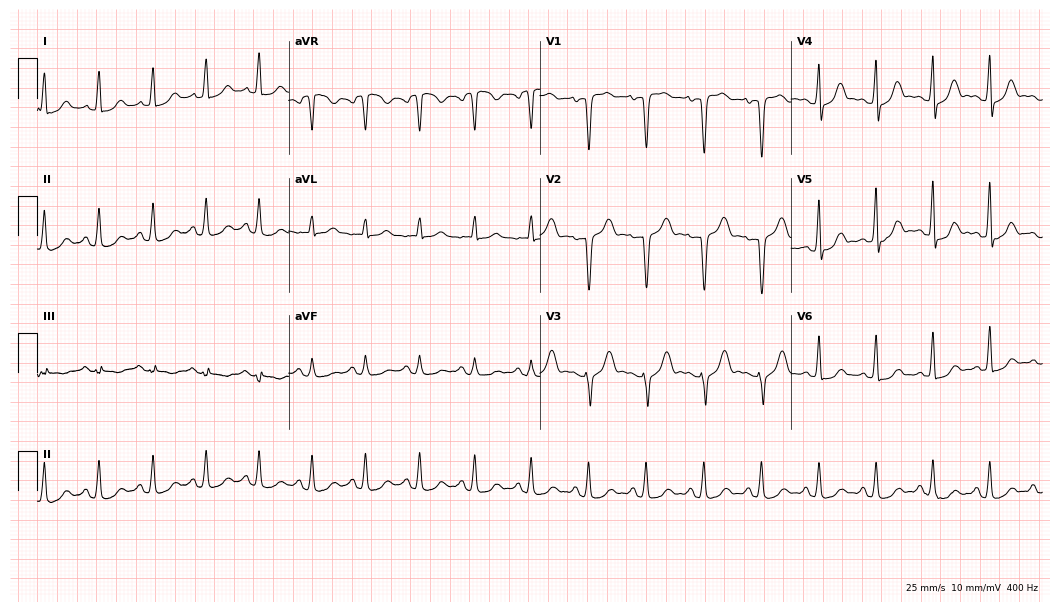
Standard 12-lead ECG recorded from a 52-year-old female (10.2-second recording at 400 Hz). None of these six findings is recorded: first-degree AV block, right bundle branch block, left bundle branch block, sinus bradycardia, atrial fibrillation, sinus tachycardia. Findings outside these six are not listed.